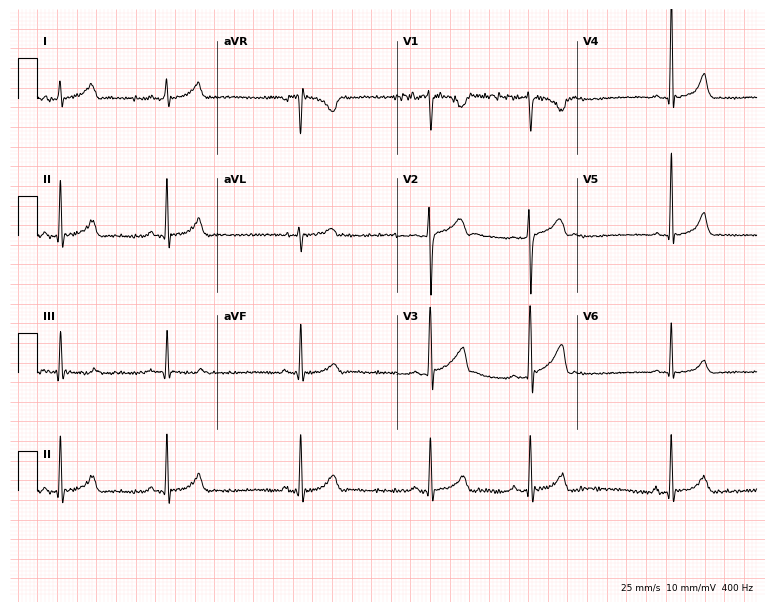
ECG — a male, 17 years old. Labelled as a normal ECG.